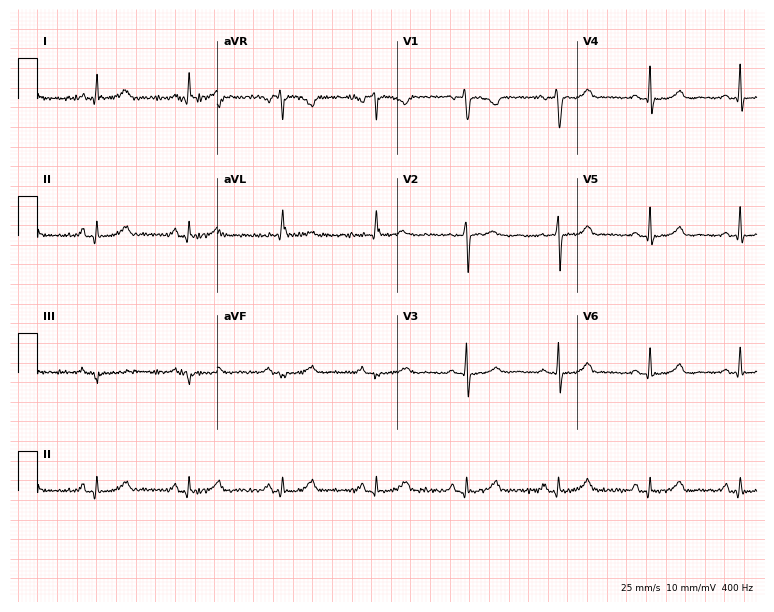
Electrocardiogram (7.3-second recording at 400 Hz), a 49-year-old female. Of the six screened findings (first-degree AV block, right bundle branch block (RBBB), left bundle branch block (LBBB), sinus bradycardia, atrial fibrillation (AF), sinus tachycardia), none is recorded. Only these six findings were labelled.